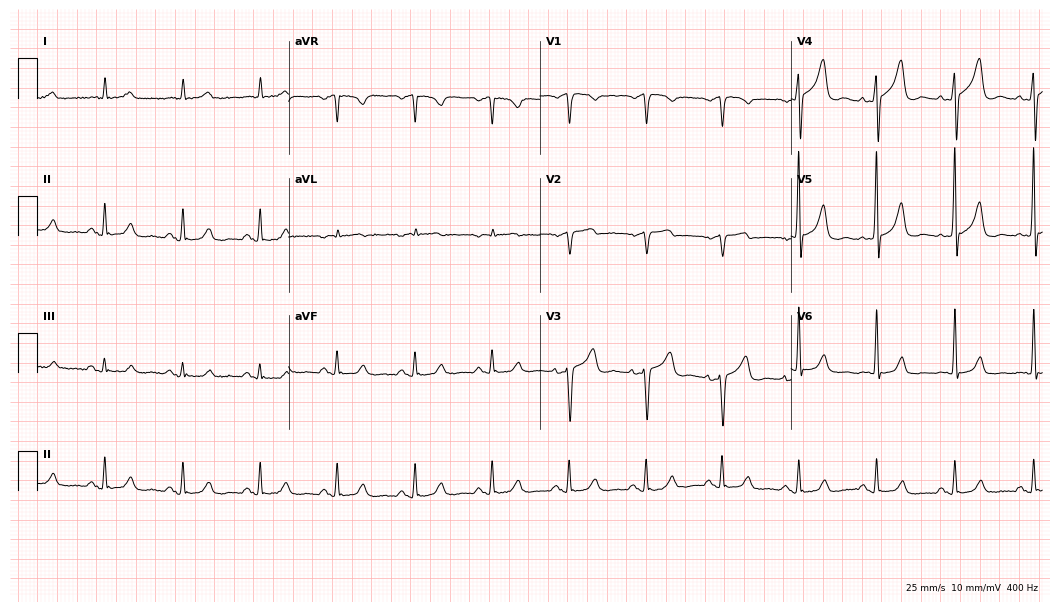
Electrocardiogram (10.2-second recording at 400 Hz), an 84-year-old male patient. Overall reading on record: normal ECG.